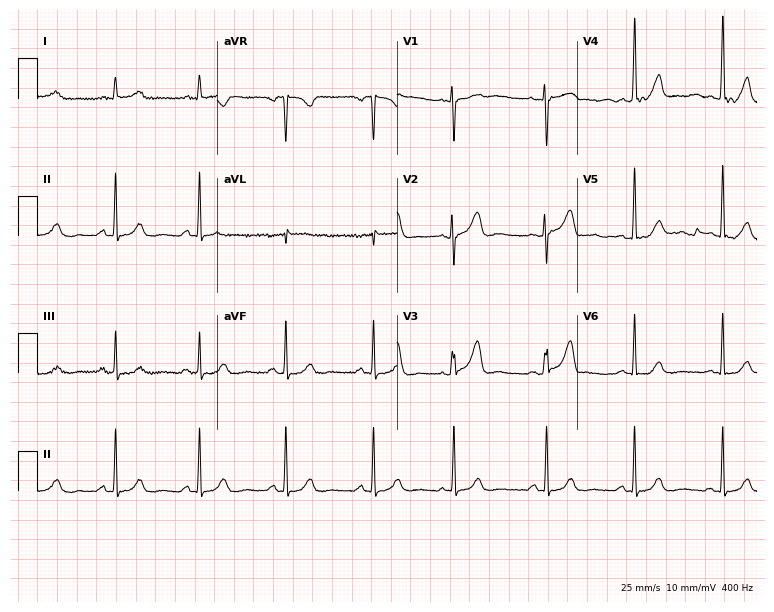
12-lead ECG from a 53-year-old female patient. Labelled as a normal ECG.